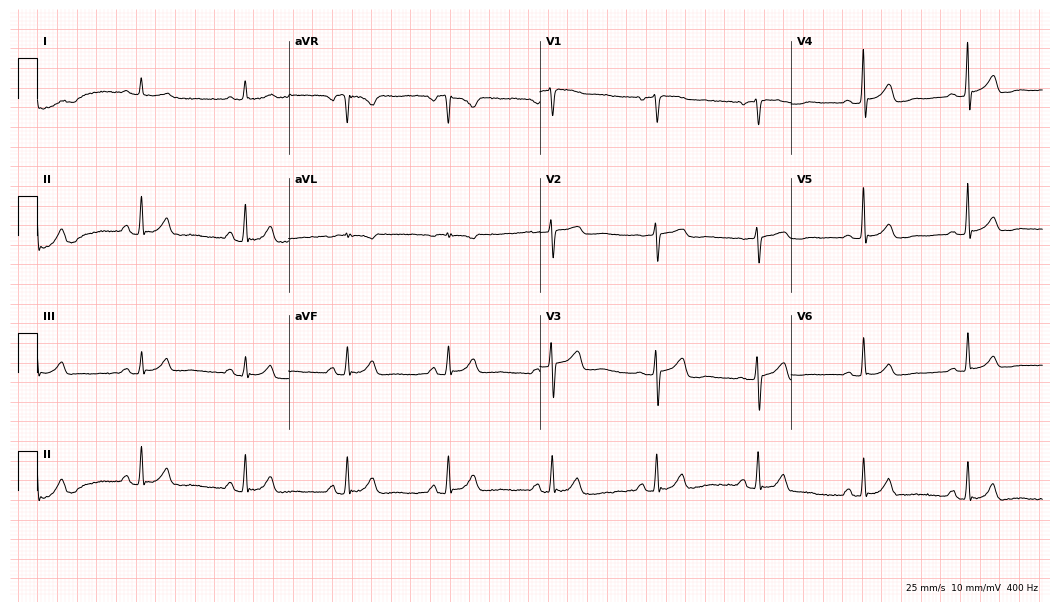
Resting 12-lead electrocardiogram. Patient: a female, 58 years old. Read as a normal ECG.